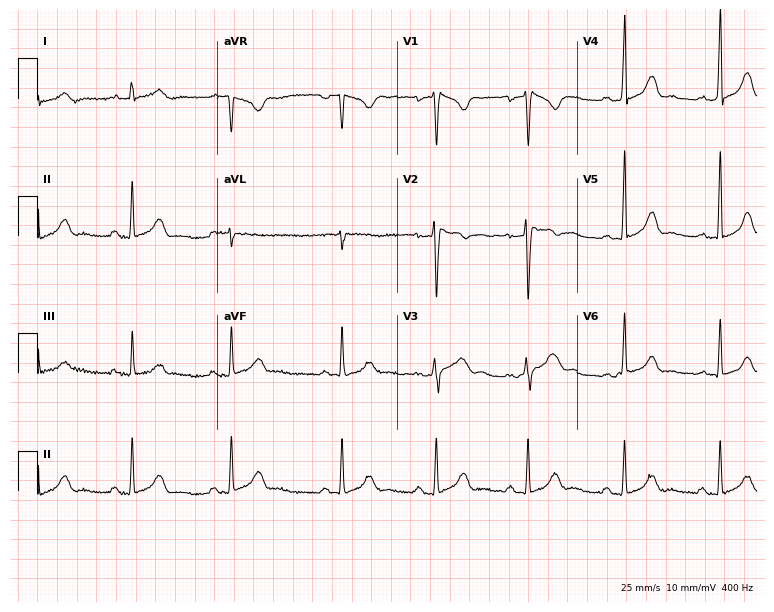
12-lead ECG from a male patient, 27 years old (7.3-second recording at 400 Hz). Recorded interpretation: within normal limits.